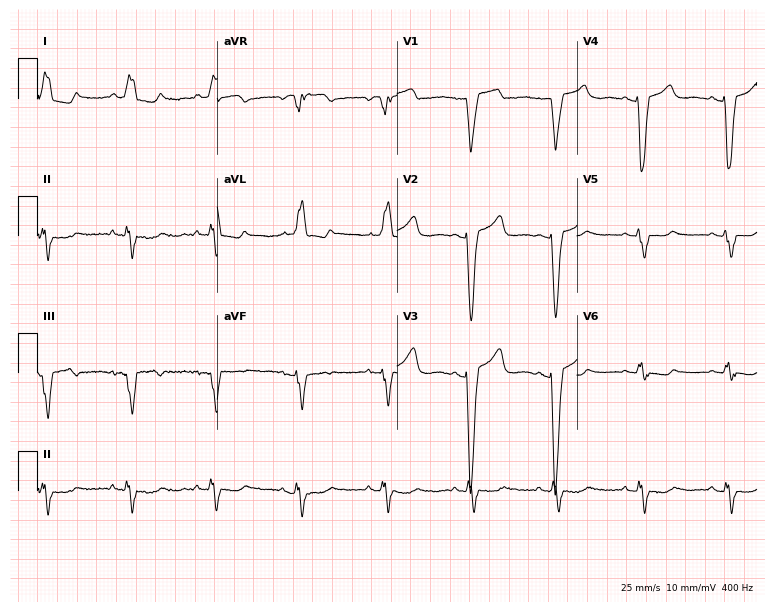
Resting 12-lead electrocardiogram (7.3-second recording at 400 Hz). Patient: a 78-year-old female. The tracing shows left bundle branch block (LBBB).